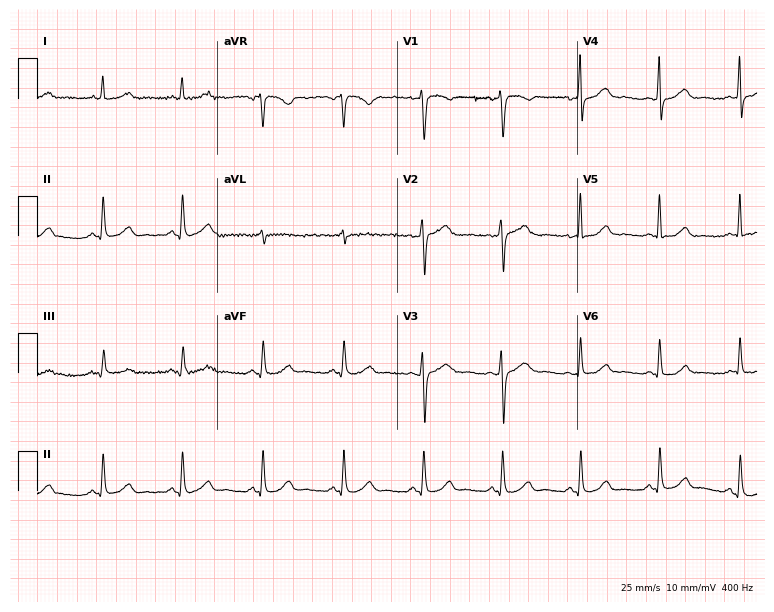
Standard 12-lead ECG recorded from a 51-year-old woman (7.3-second recording at 400 Hz). Read as a normal ECG.